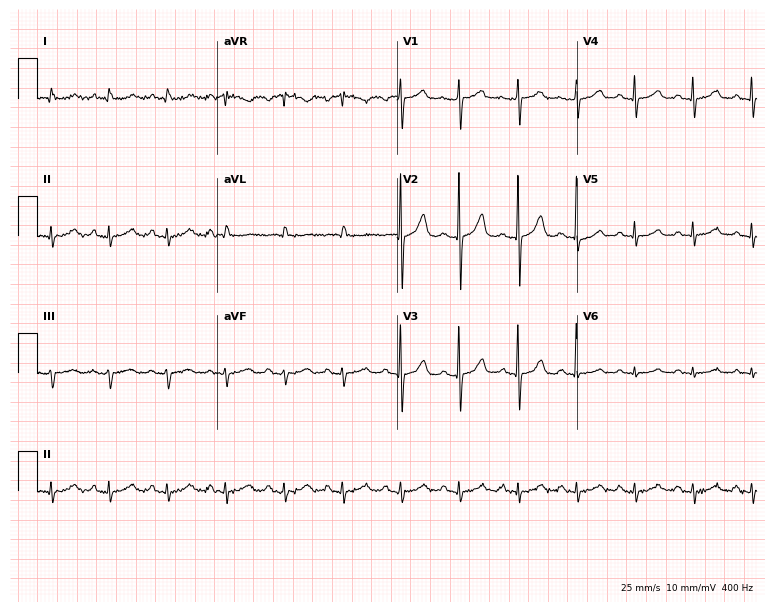
Standard 12-lead ECG recorded from a female, 81 years old (7.3-second recording at 400 Hz). The tracing shows sinus tachycardia (a sinus rate of 100 beats per minute or more).